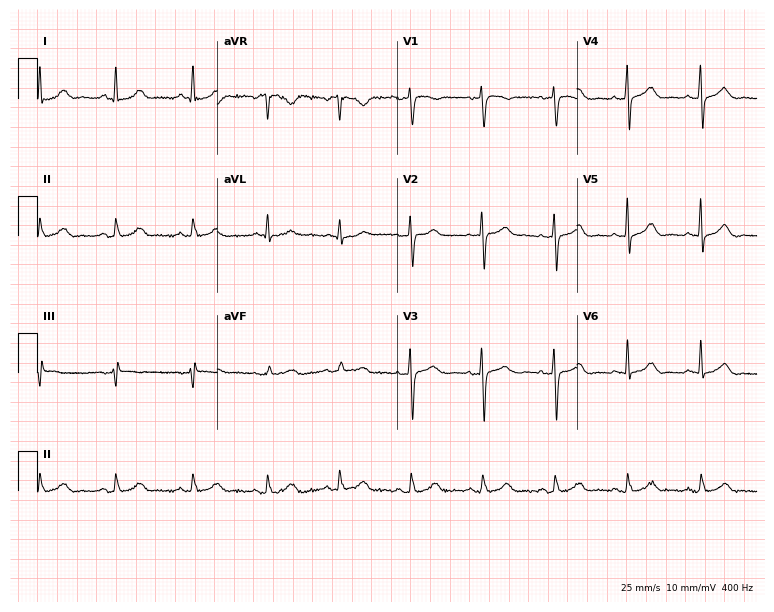
Standard 12-lead ECG recorded from a 51-year-old woman. Read as a normal ECG.